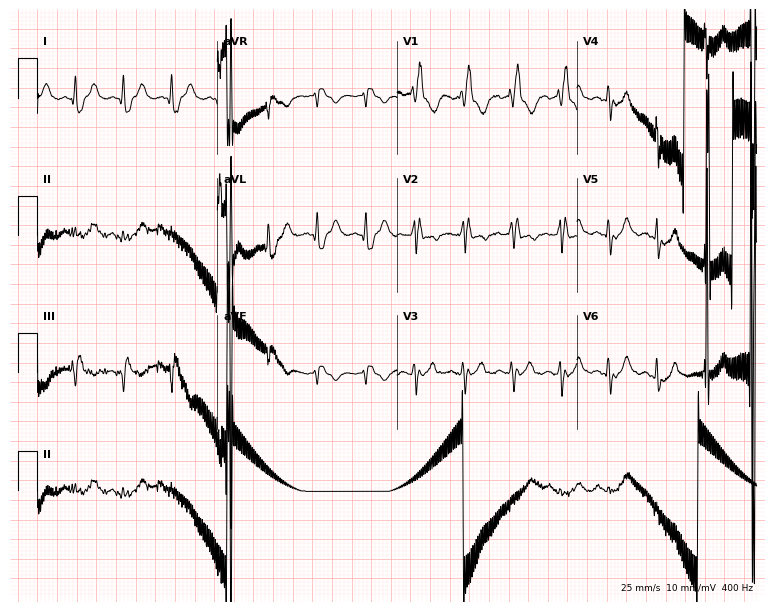
Standard 12-lead ECG recorded from a 78-year-old female (7.3-second recording at 400 Hz). None of these six findings is recorded: first-degree AV block, right bundle branch block, left bundle branch block, sinus bradycardia, atrial fibrillation, sinus tachycardia.